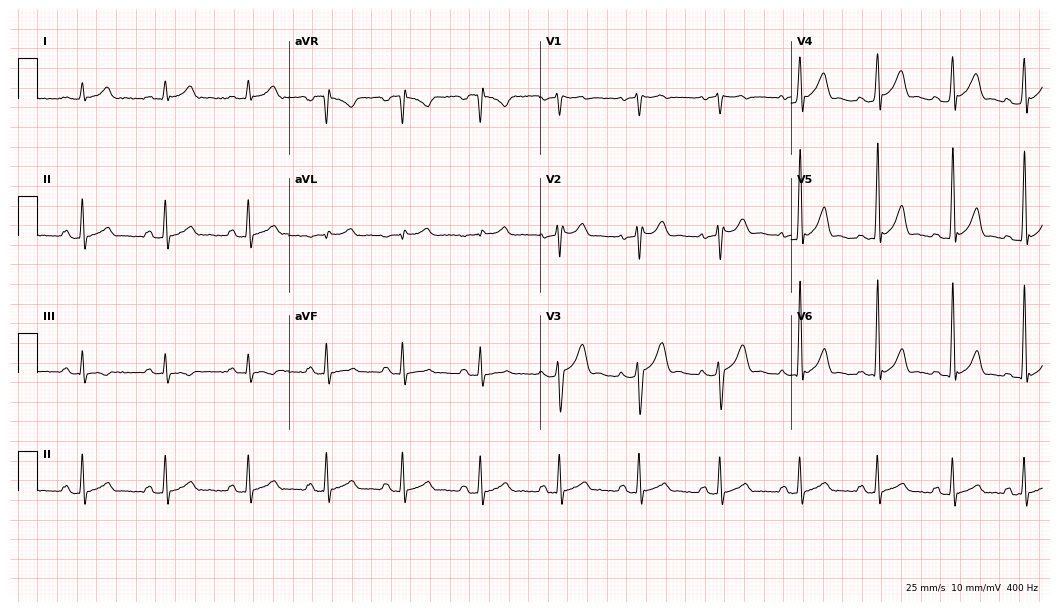
12-lead ECG (10.2-second recording at 400 Hz) from a 20-year-old male patient. Labelled as a normal ECG.